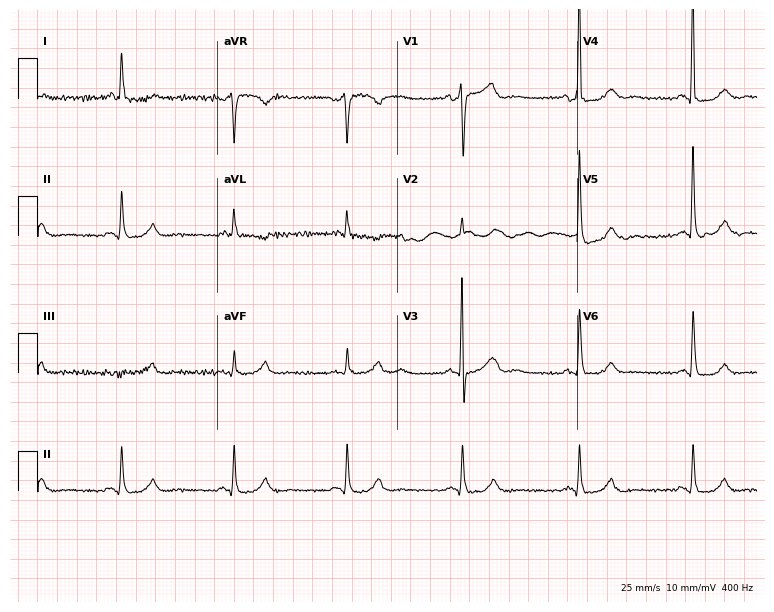
Electrocardiogram (7.3-second recording at 400 Hz), a 67-year-old male patient. Overall reading on record: normal ECG.